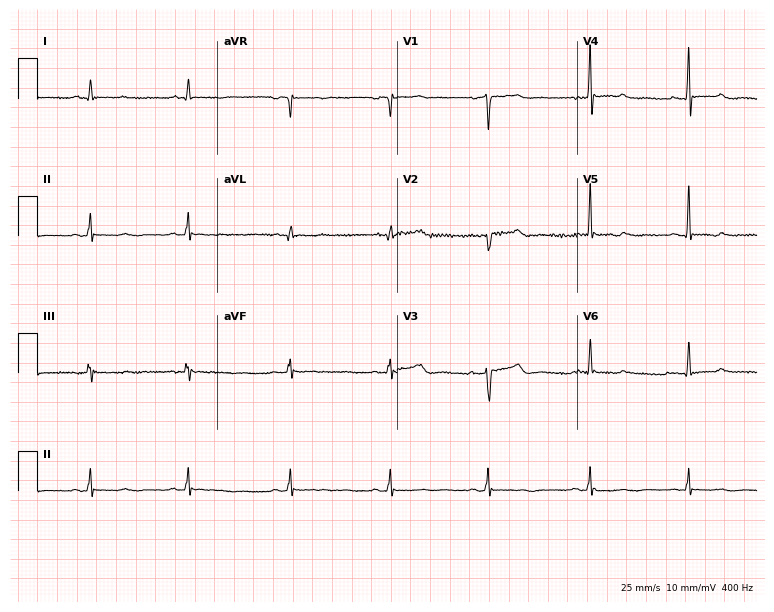
ECG — a female, 58 years old. Screened for six findings — first-degree AV block, right bundle branch block (RBBB), left bundle branch block (LBBB), sinus bradycardia, atrial fibrillation (AF), sinus tachycardia — none is recorded. Other findings, if any, are not listed.